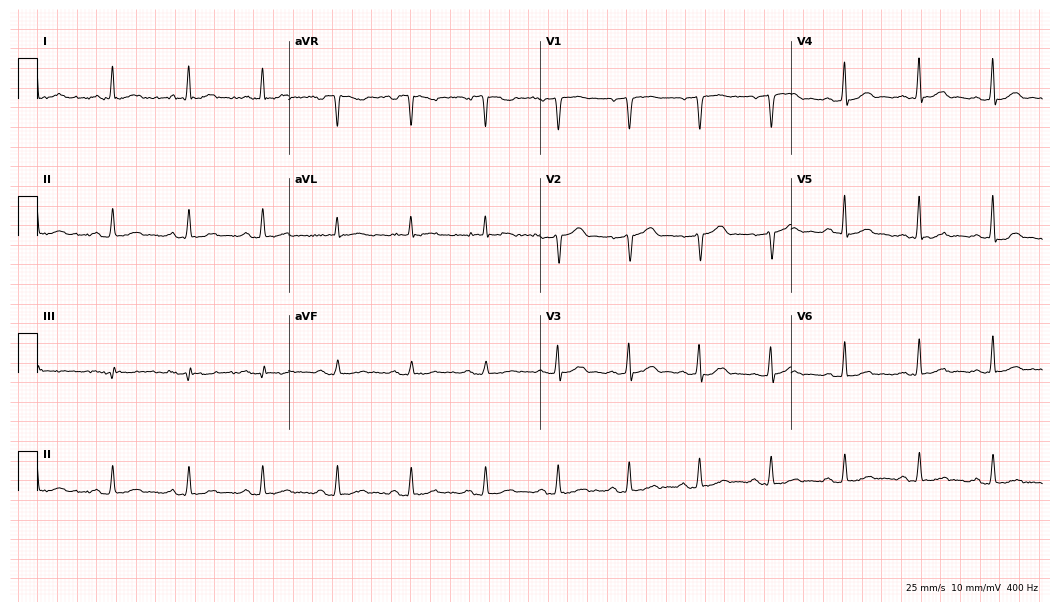
Standard 12-lead ECG recorded from a 62-year-old male (10.2-second recording at 400 Hz). None of these six findings is recorded: first-degree AV block, right bundle branch block, left bundle branch block, sinus bradycardia, atrial fibrillation, sinus tachycardia. Findings outside these six are not listed.